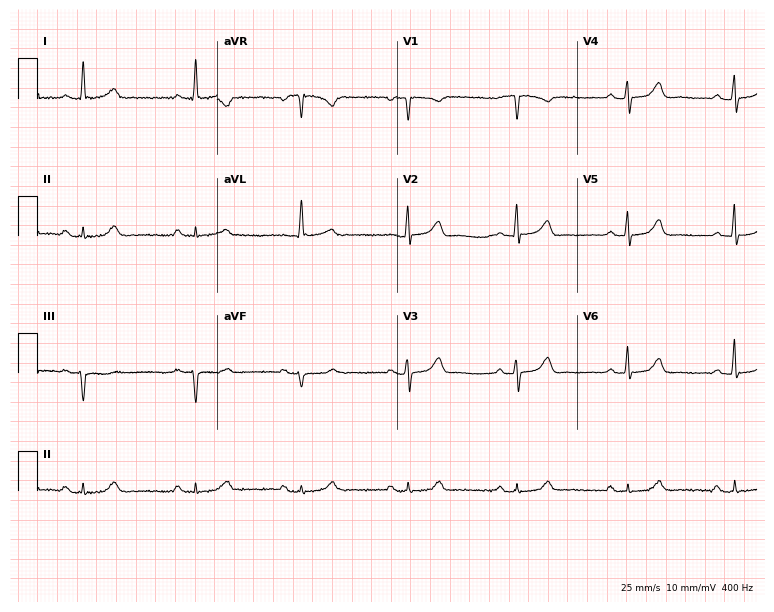
ECG — a woman, 72 years old. Labelled as a normal ECG.